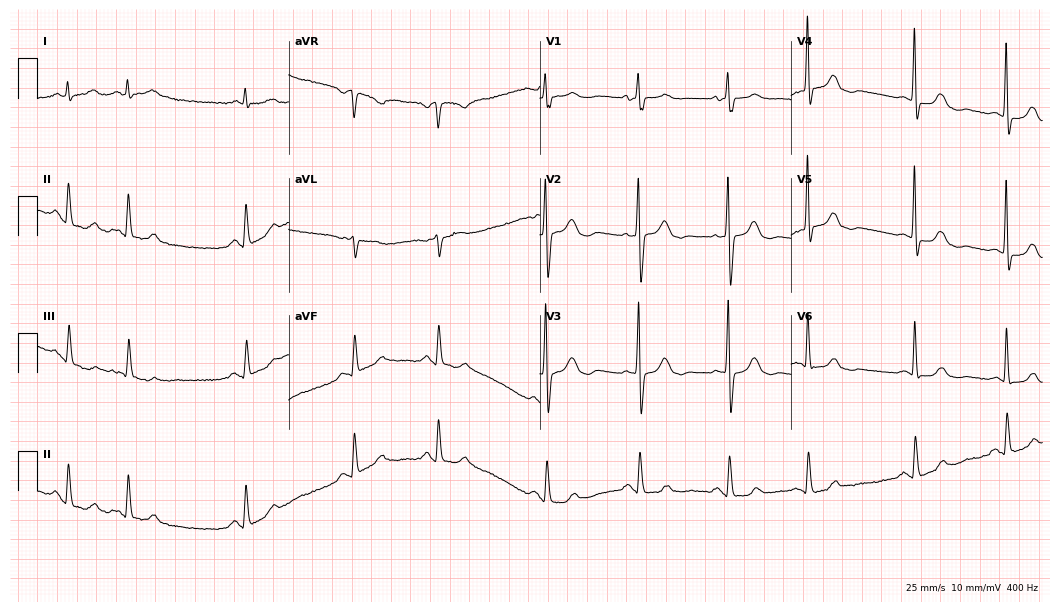
12-lead ECG from an 83-year-old female (10.2-second recording at 400 Hz). No first-degree AV block, right bundle branch block (RBBB), left bundle branch block (LBBB), sinus bradycardia, atrial fibrillation (AF) or sinus tachycardia recorded for this tracing.